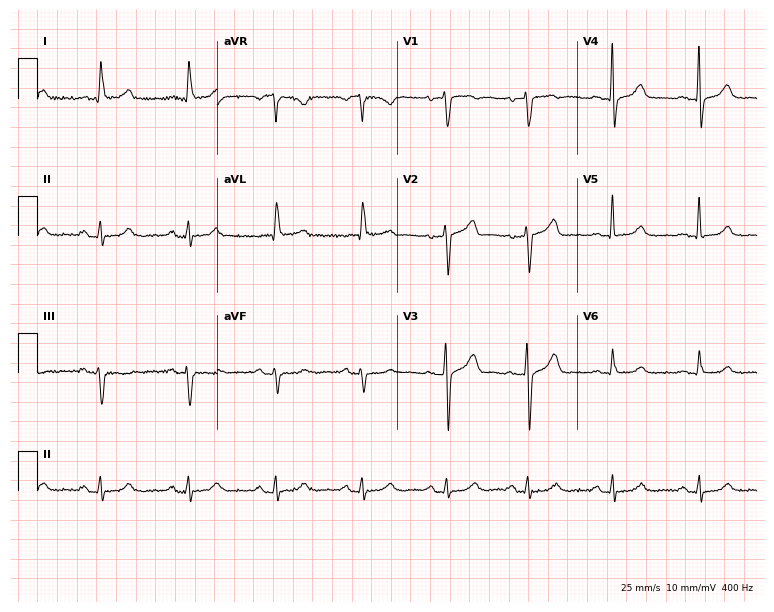
Standard 12-lead ECG recorded from a 69-year-old male patient (7.3-second recording at 400 Hz). Read as a normal ECG.